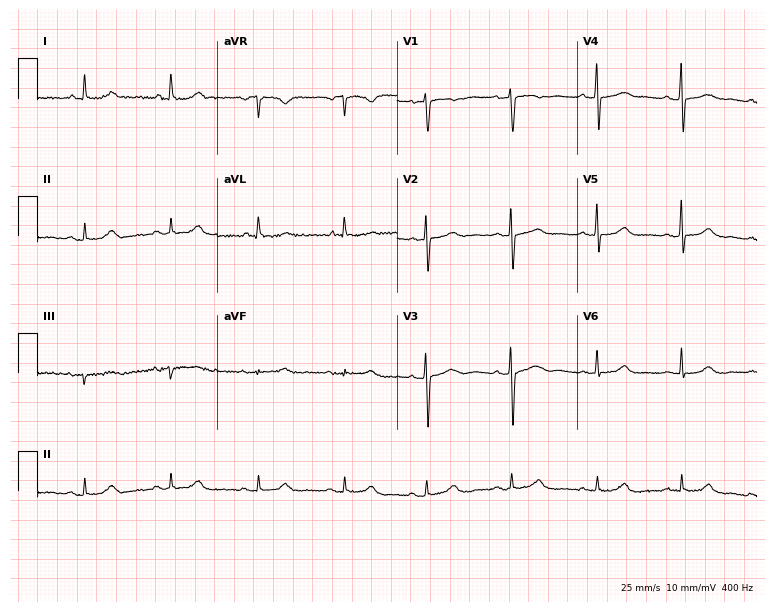
12-lead ECG from a woman, 58 years old. Recorded interpretation: within normal limits.